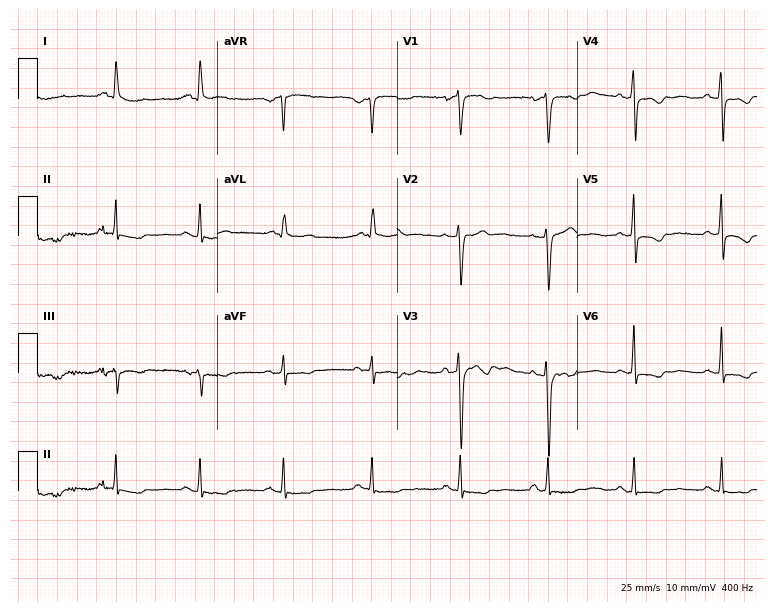
Electrocardiogram, a 52-year-old female. Of the six screened findings (first-degree AV block, right bundle branch block, left bundle branch block, sinus bradycardia, atrial fibrillation, sinus tachycardia), none is recorded. Other findings, if any, are not listed.